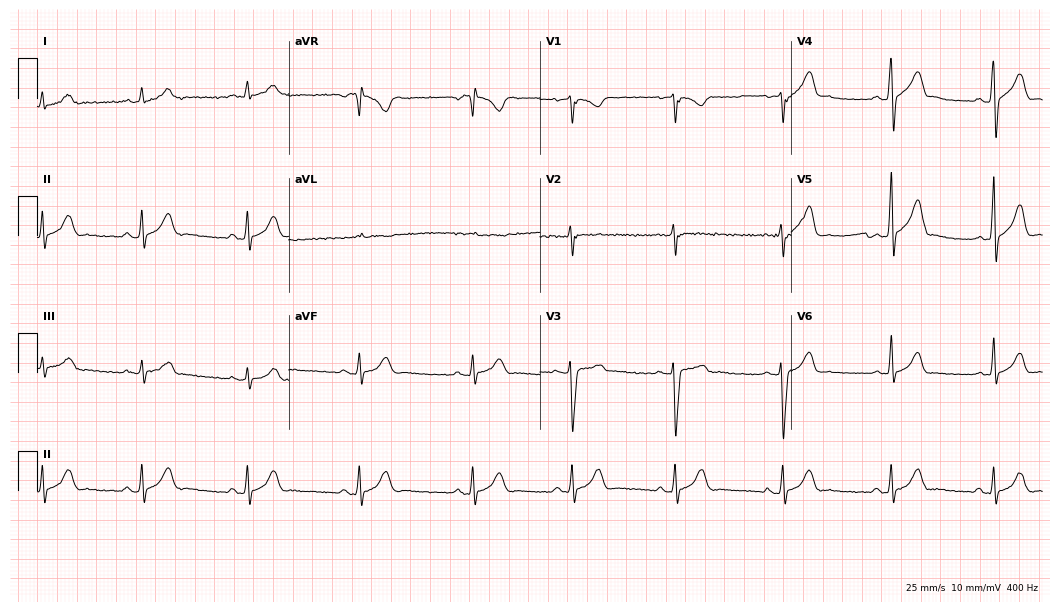
12-lead ECG from a man, 26 years old. Labelled as a normal ECG.